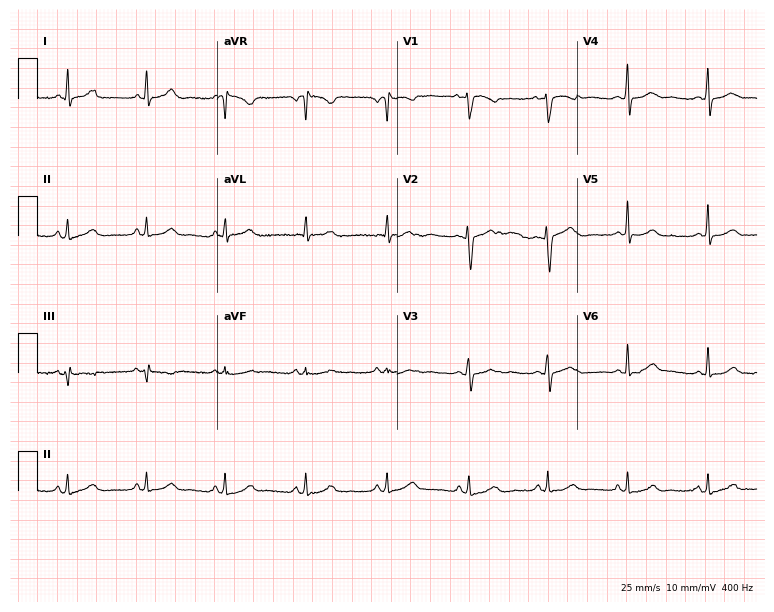
ECG — a female patient, 42 years old. Labelled as a normal ECG.